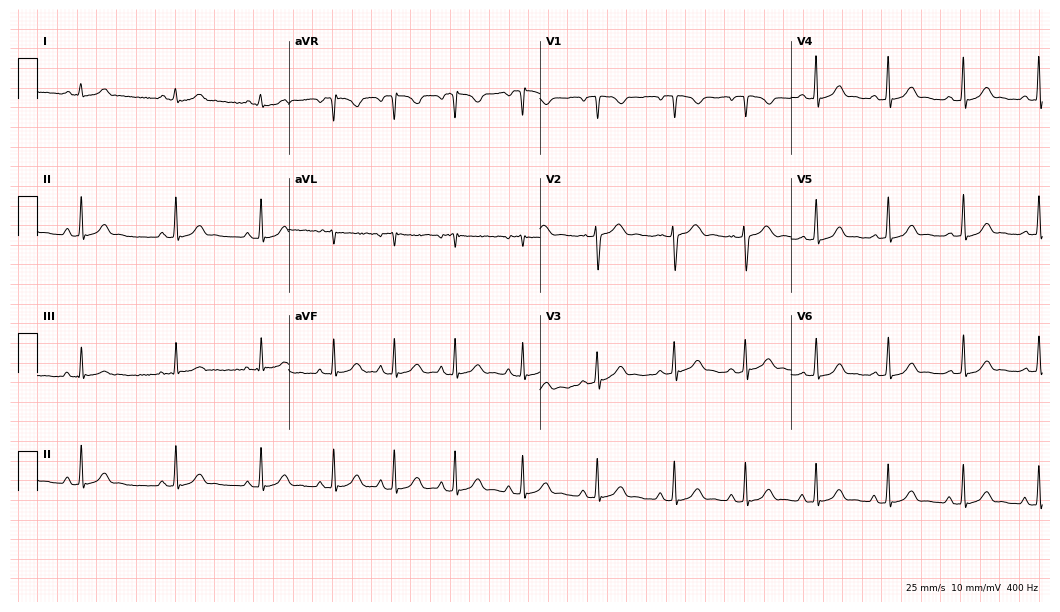
12-lead ECG (10.2-second recording at 400 Hz) from a female, 17 years old. Labelled as a normal ECG.